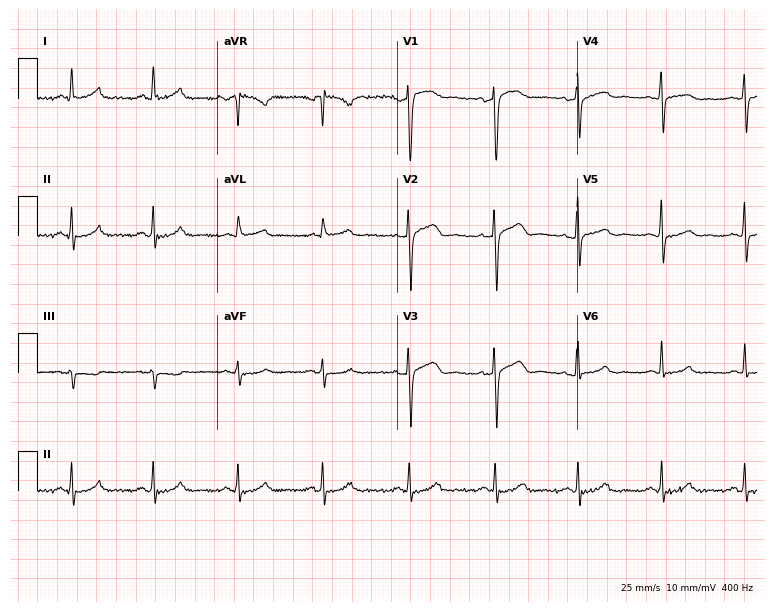
Standard 12-lead ECG recorded from a 52-year-old male (7.3-second recording at 400 Hz). Read as a normal ECG.